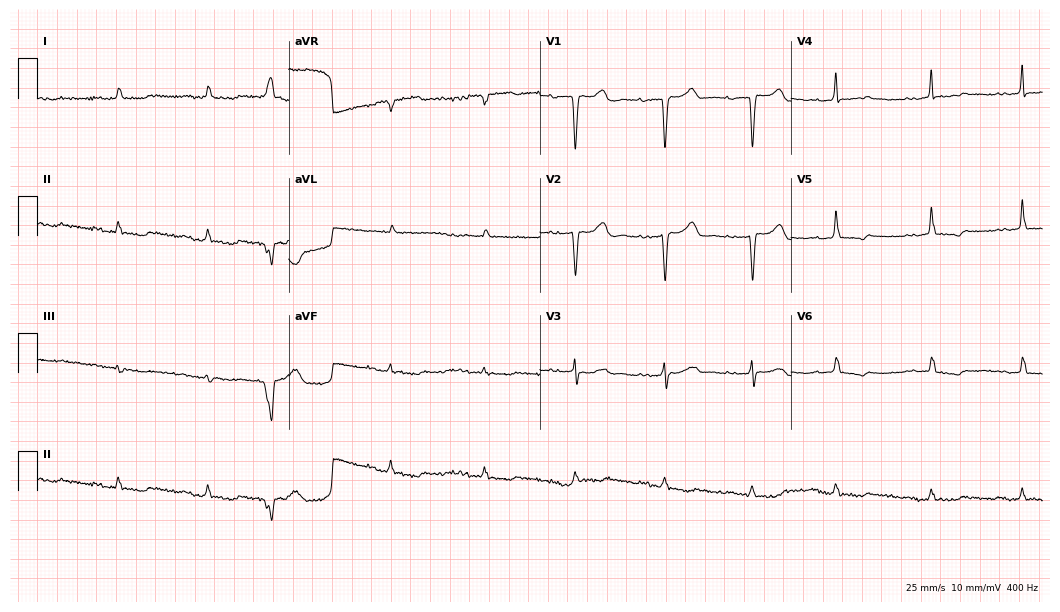
ECG (10.2-second recording at 400 Hz) — a female, 59 years old. Screened for six findings — first-degree AV block, right bundle branch block, left bundle branch block, sinus bradycardia, atrial fibrillation, sinus tachycardia — none is recorded. Other findings, if any, are not listed.